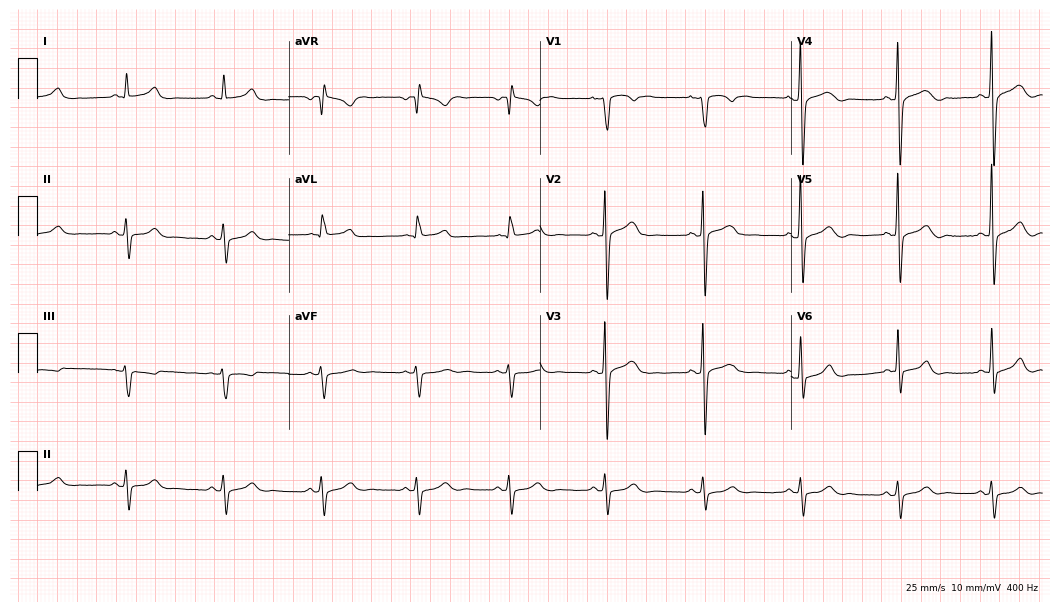
Electrocardiogram, a 68-year-old man. Of the six screened findings (first-degree AV block, right bundle branch block (RBBB), left bundle branch block (LBBB), sinus bradycardia, atrial fibrillation (AF), sinus tachycardia), none is recorded.